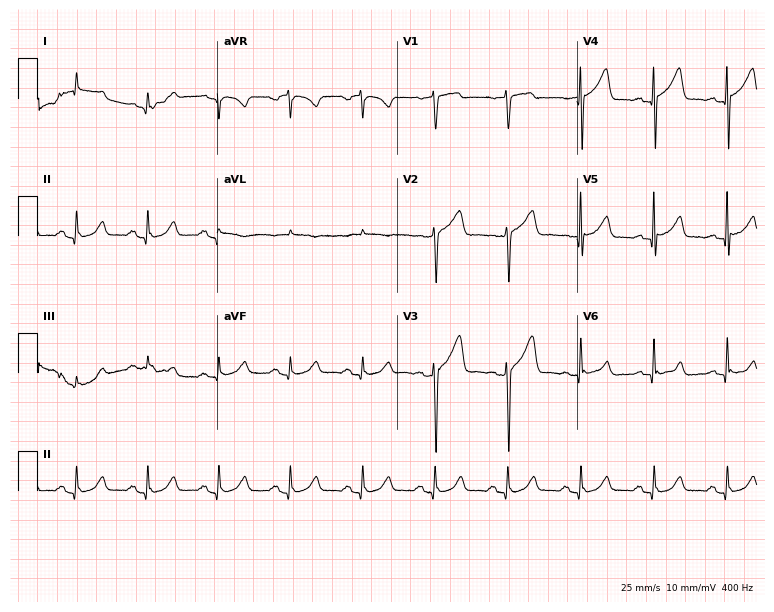
ECG — an 80-year-old man. Labelled as a normal ECG.